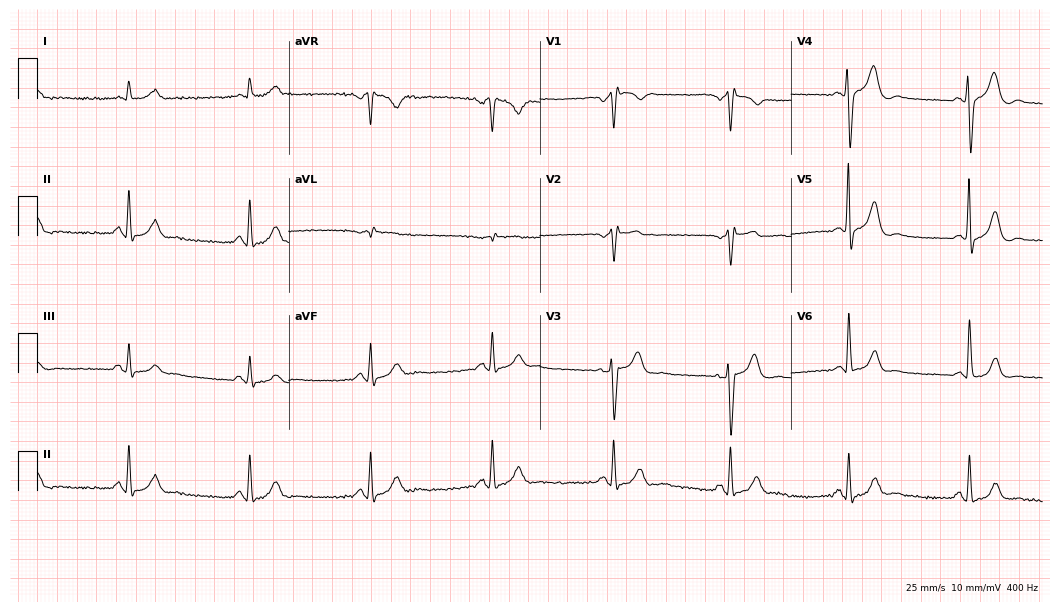
ECG — a 71-year-old male. Findings include sinus bradycardia (a sinus rate of 50 beats per minute or less).